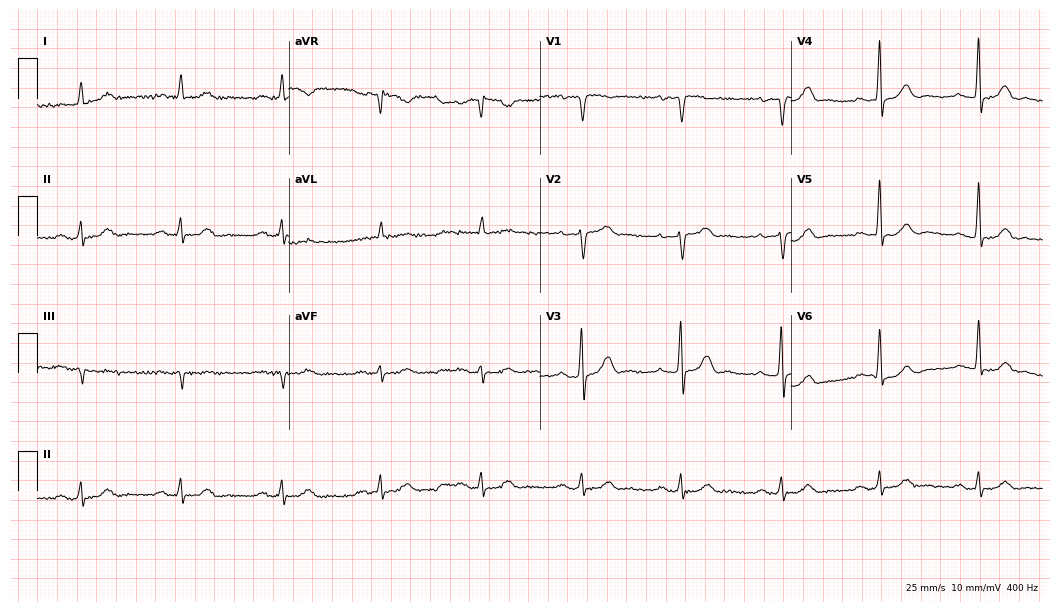
Electrocardiogram (10.2-second recording at 400 Hz), a man, 83 years old. Overall reading on record: normal ECG.